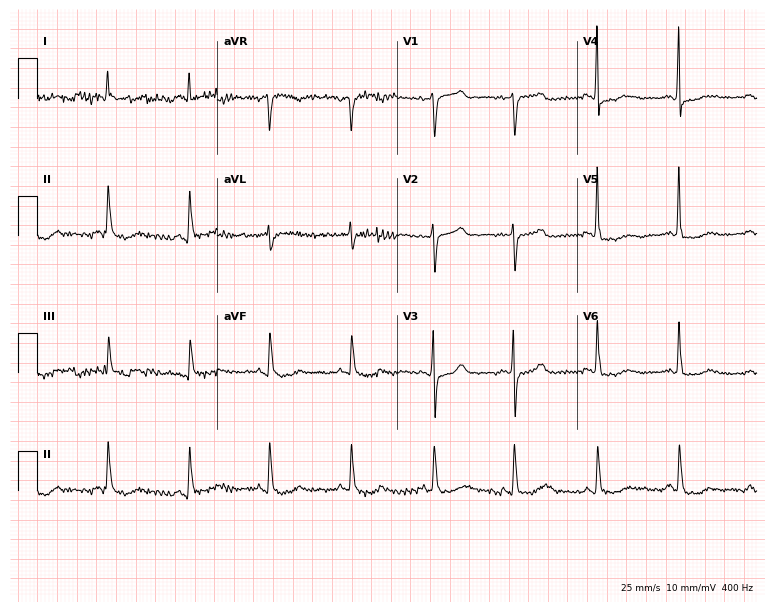
12-lead ECG from a female, 76 years old. Screened for six findings — first-degree AV block, right bundle branch block, left bundle branch block, sinus bradycardia, atrial fibrillation, sinus tachycardia — none is recorded.